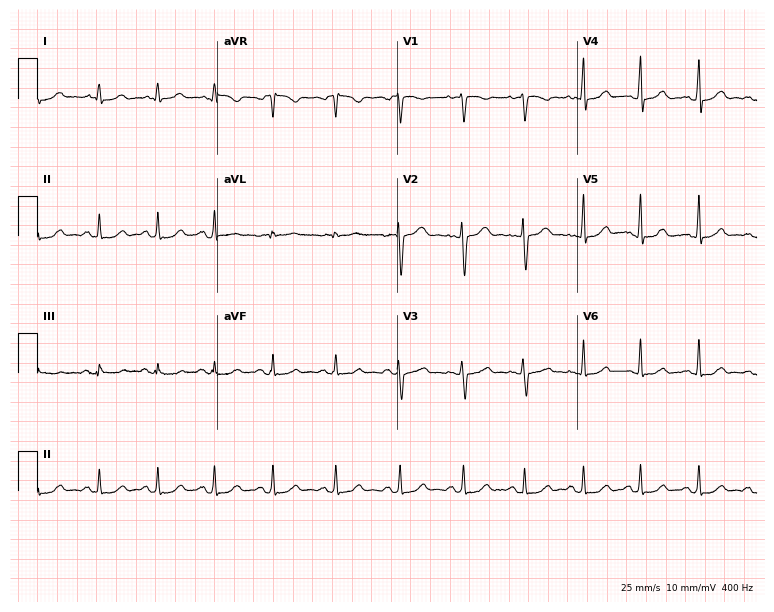
Resting 12-lead electrocardiogram. Patient: a 29-year-old female. Read as a normal ECG.